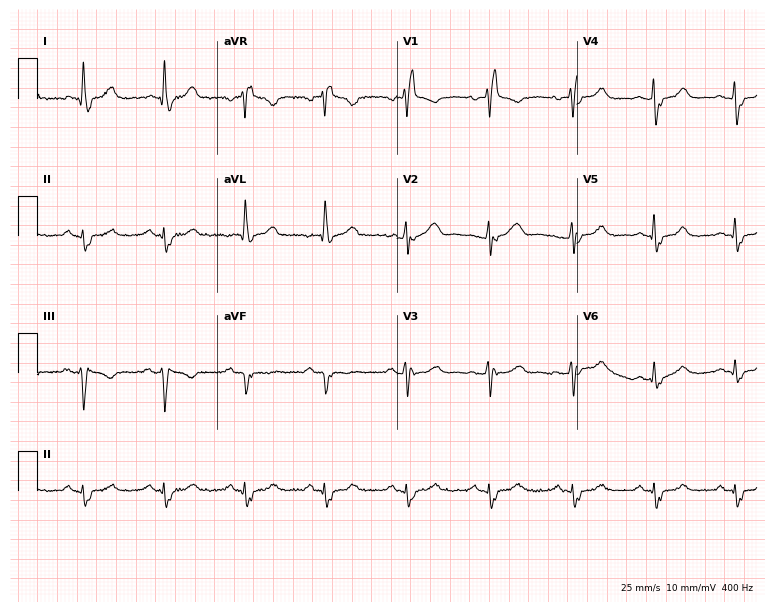
Standard 12-lead ECG recorded from a female, 74 years old. The tracing shows right bundle branch block.